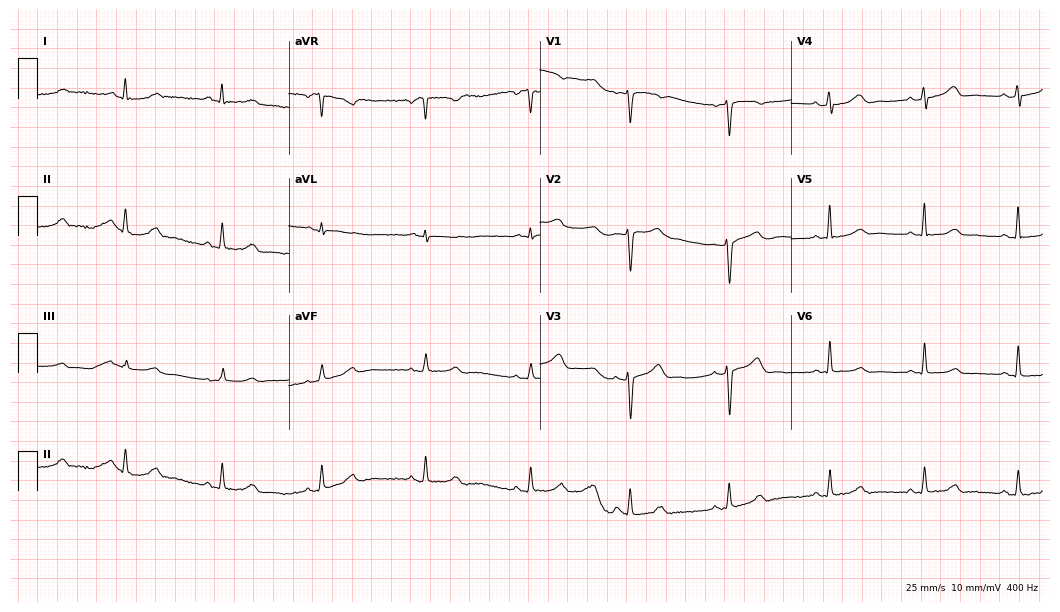
12-lead ECG from a female patient, 45 years old (10.2-second recording at 400 Hz). No first-degree AV block, right bundle branch block, left bundle branch block, sinus bradycardia, atrial fibrillation or sinus tachycardia recorded for this tracing.